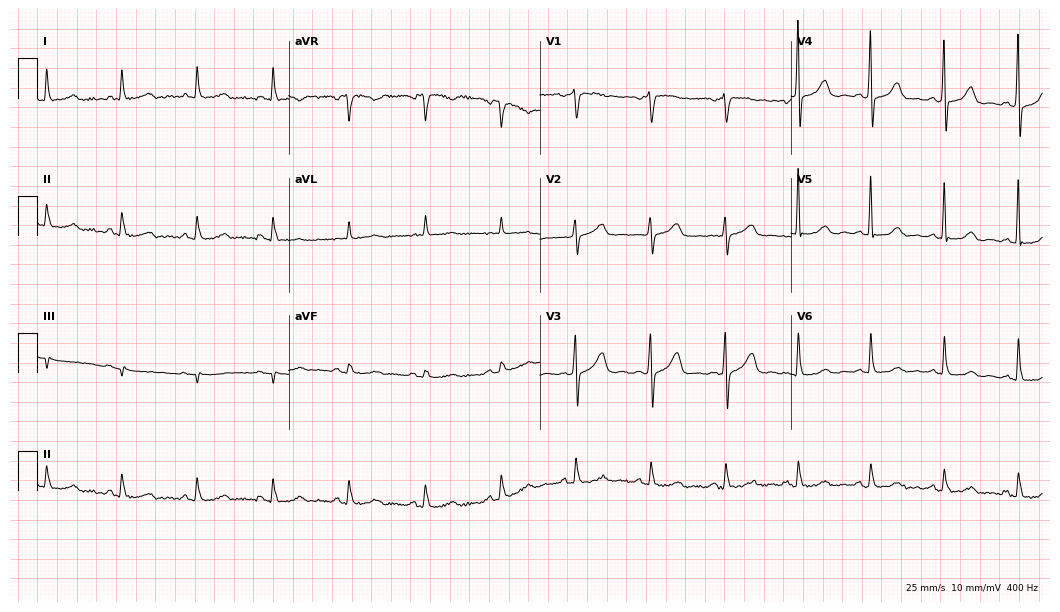
Resting 12-lead electrocardiogram. Patient: a 55-year-old female. Read as a normal ECG.